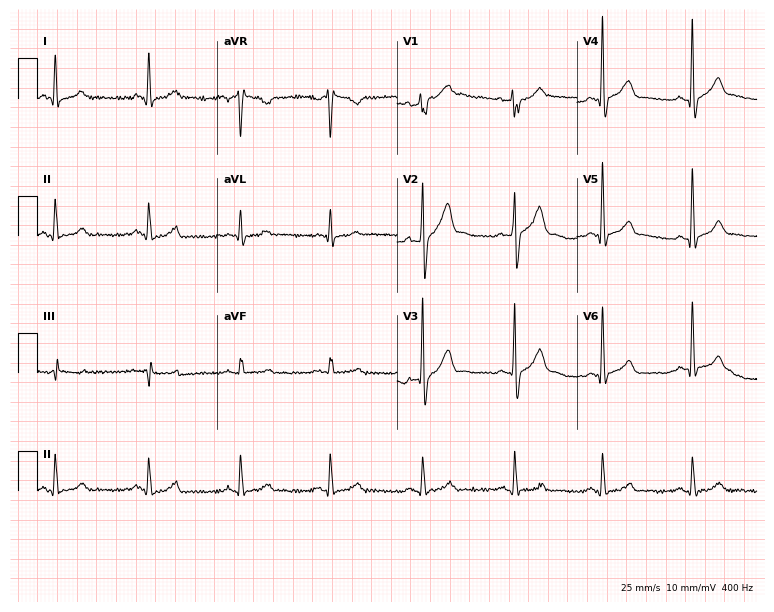
Standard 12-lead ECG recorded from a 57-year-old male patient (7.3-second recording at 400 Hz). Read as a normal ECG.